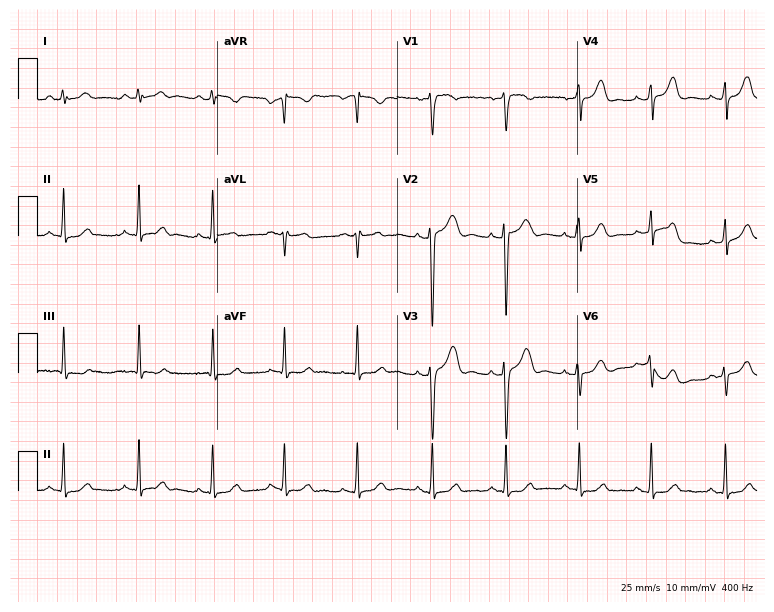
Resting 12-lead electrocardiogram. Patient: a female, 28 years old. Read as a normal ECG.